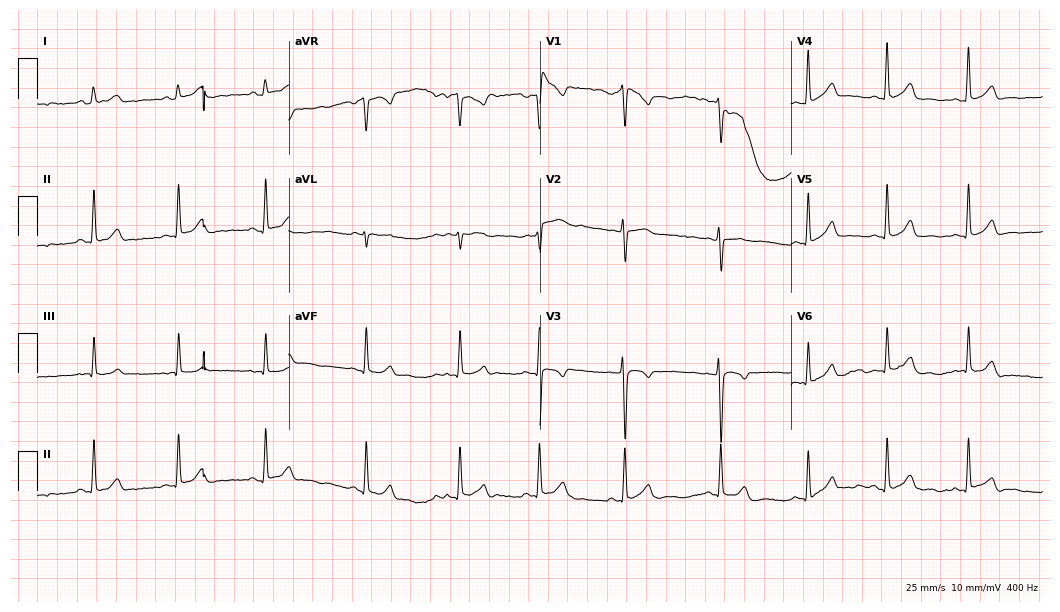
Resting 12-lead electrocardiogram. Patient: a female, 18 years old. Read as a normal ECG.